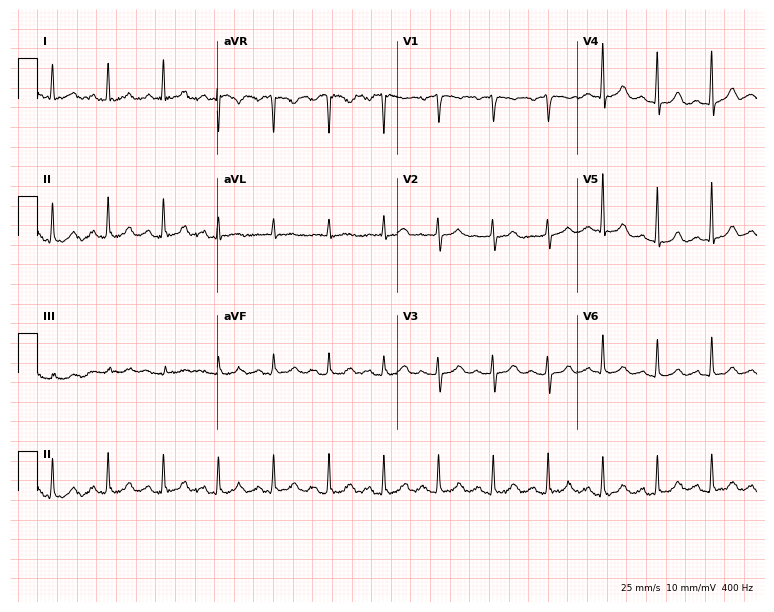
Resting 12-lead electrocardiogram. Patient: a woman, 56 years old. The tracing shows sinus tachycardia (a sinus rate of 100 beats per minute or more).